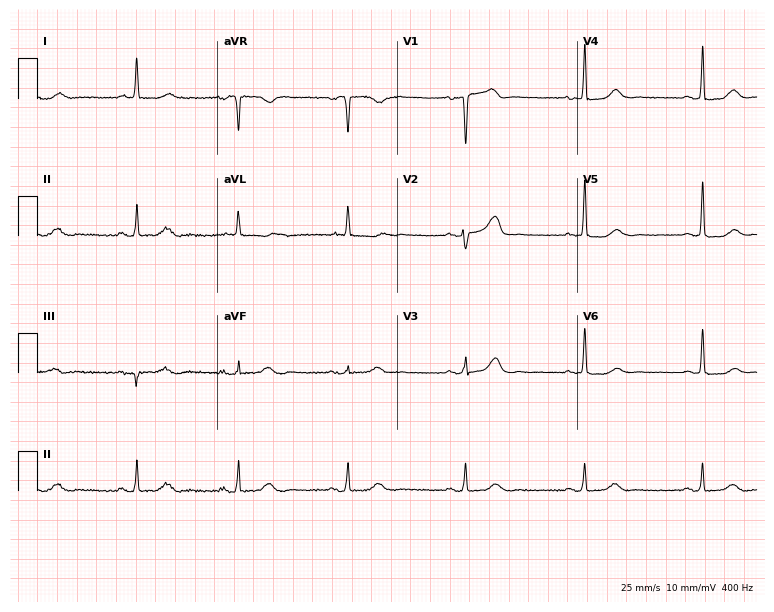
Resting 12-lead electrocardiogram. Patient: a woman, 64 years old. None of these six findings is recorded: first-degree AV block, right bundle branch block, left bundle branch block, sinus bradycardia, atrial fibrillation, sinus tachycardia. Findings outside these six are not listed.